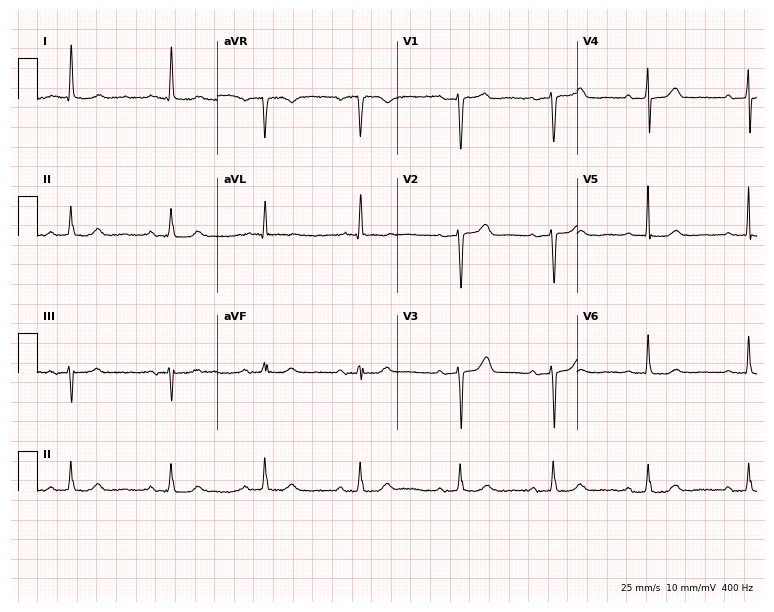
Electrocardiogram, a 70-year-old female patient. Of the six screened findings (first-degree AV block, right bundle branch block (RBBB), left bundle branch block (LBBB), sinus bradycardia, atrial fibrillation (AF), sinus tachycardia), none is recorded. Only these six findings were labelled.